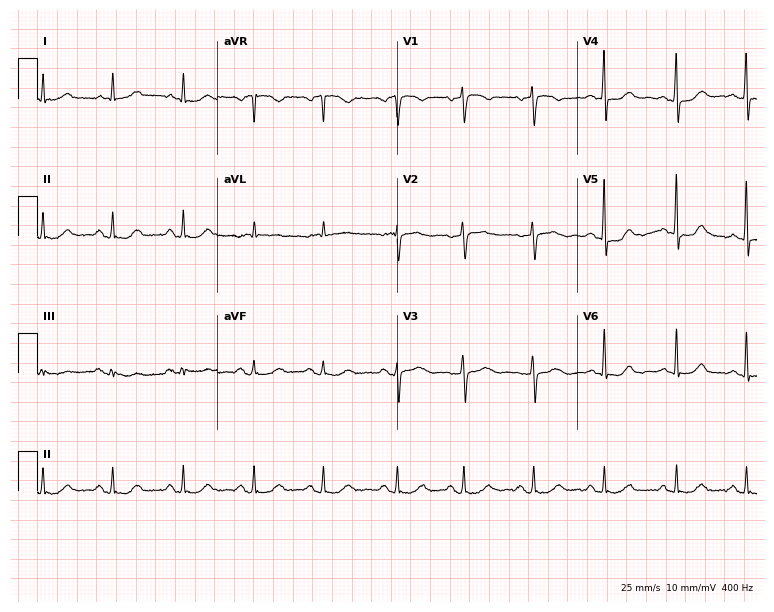
12-lead ECG from a 63-year-old female. Labelled as a normal ECG.